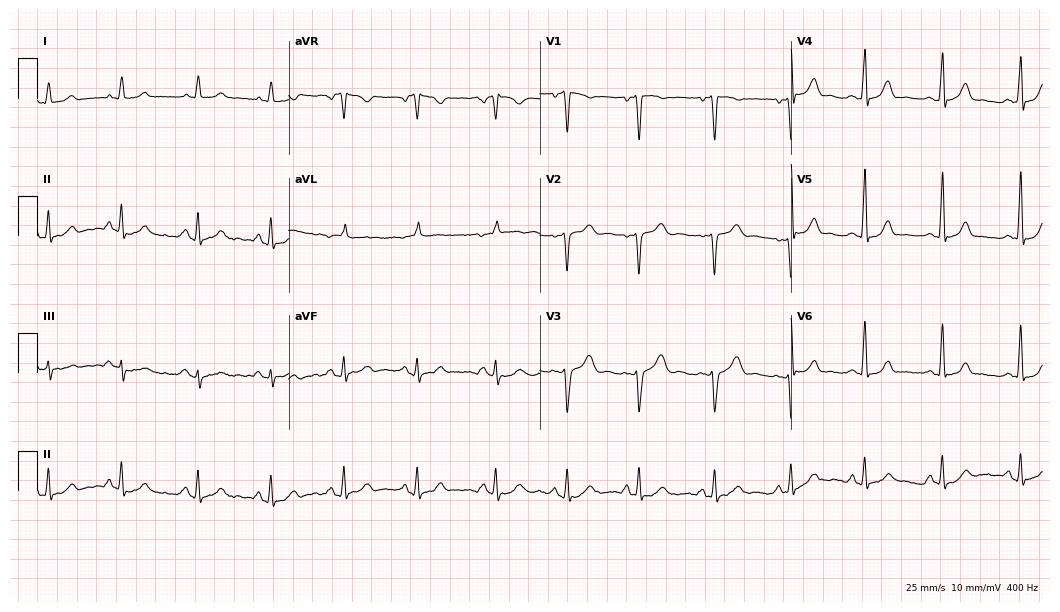
Standard 12-lead ECG recorded from a 37-year-old female patient. None of these six findings is recorded: first-degree AV block, right bundle branch block, left bundle branch block, sinus bradycardia, atrial fibrillation, sinus tachycardia. Only these six findings were labelled.